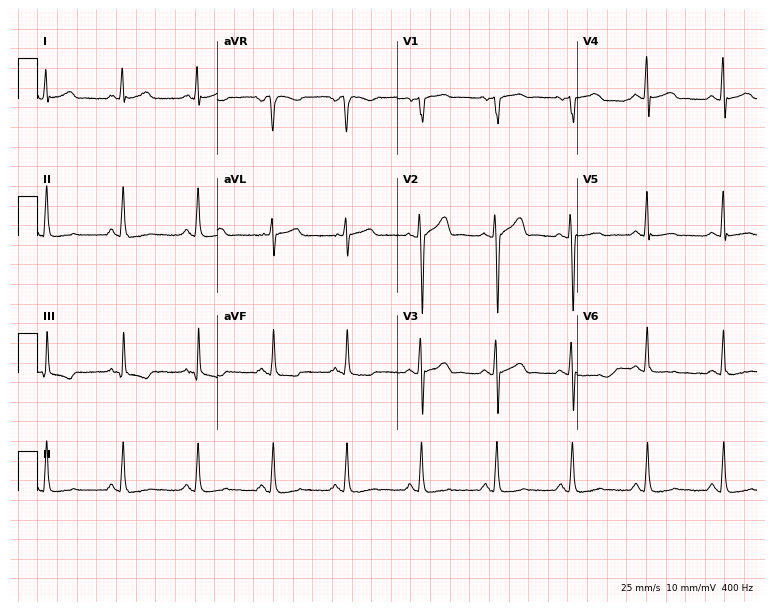
12-lead ECG from a male patient, 55 years old (7.3-second recording at 400 Hz). No first-degree AV block, right bundle branch block, left bundle branch block, sinus bradycardia, atrial fibrillation or sinus tachycardia recorded for this tracing. Other findings, if any, are not listed.